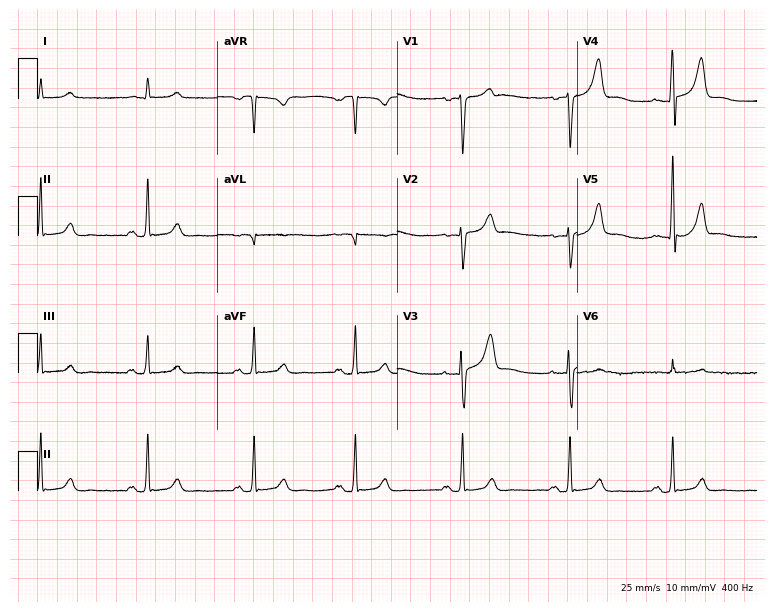
ECG (7.3-second recording at 400 Hz) — a 54-year-old male. Labelled as a normal ECG.